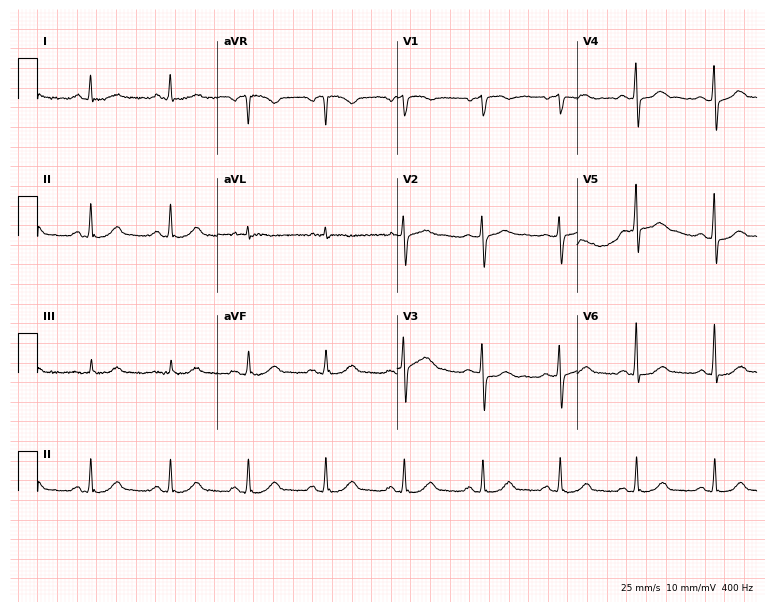
12-lead ECG (7.3-second recording at 400 Hz) from a man, 63 years old. Labelled as a normal ECG.